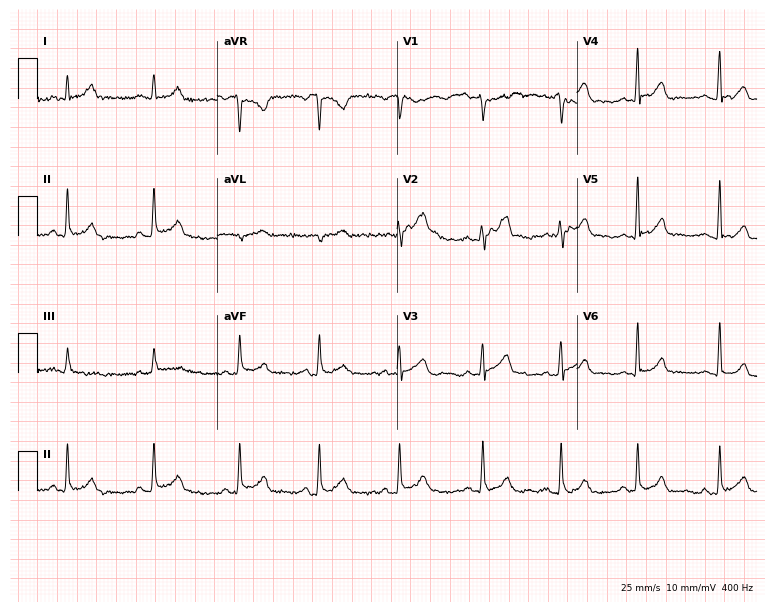
ECG — a male, 31 years old. Labelled as a normal ECG.